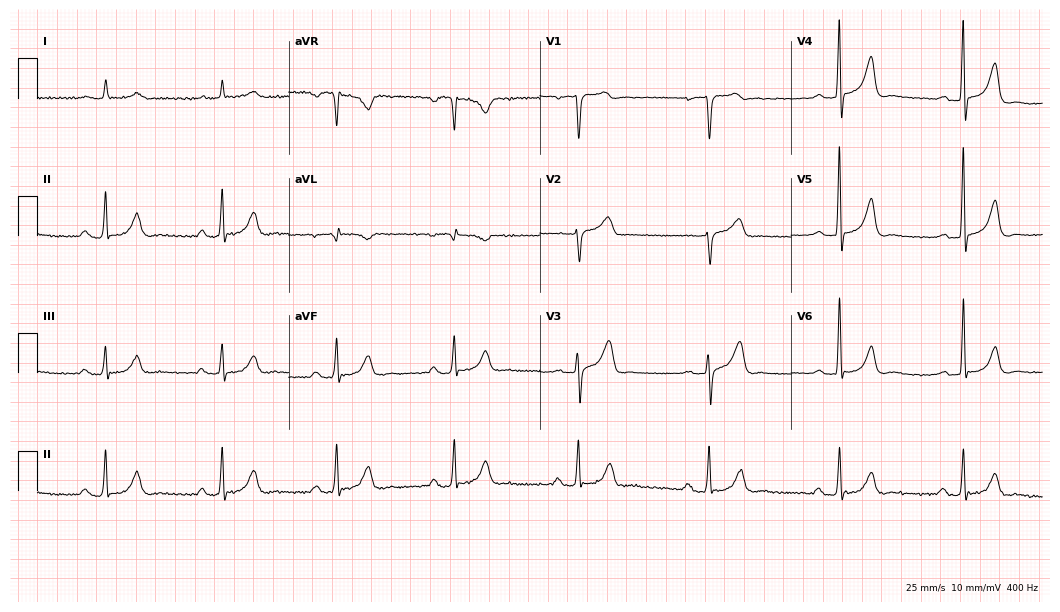
ECG (10.2-second recording at 400 Hz) — a male, 79 years old. Findings include first-degree AV block, right bundle branch block, sinus bradycardia (a sinus rate of 50 beats per minute or less).